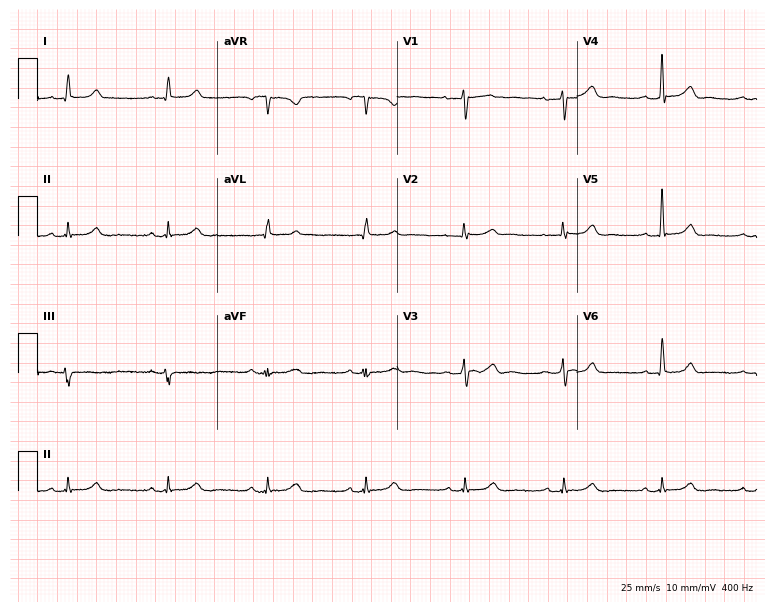
12-lead ECG (7.3-second recording at 400 Hz) from a 52-year-old female patient. Labelled as a normal ECG.